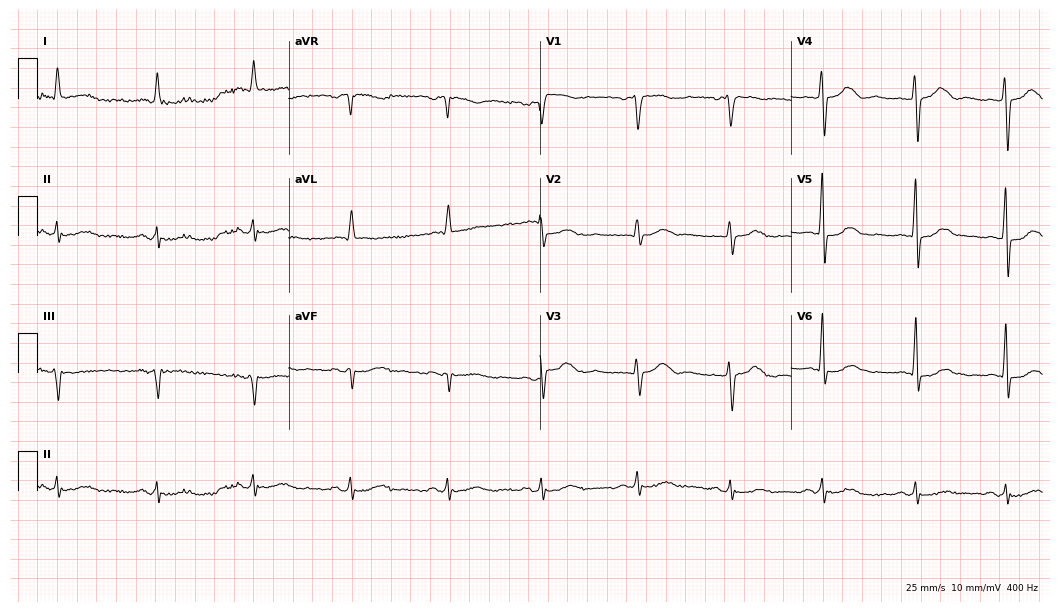
Standard 12-lead ECG recorded from a 65-year-old woman. None of these six findings is recorded: first-degree AV block, right bundle branch block, left bundle branch block, sinus bradycardia, atrial fibrillation, sinus tachycardia.